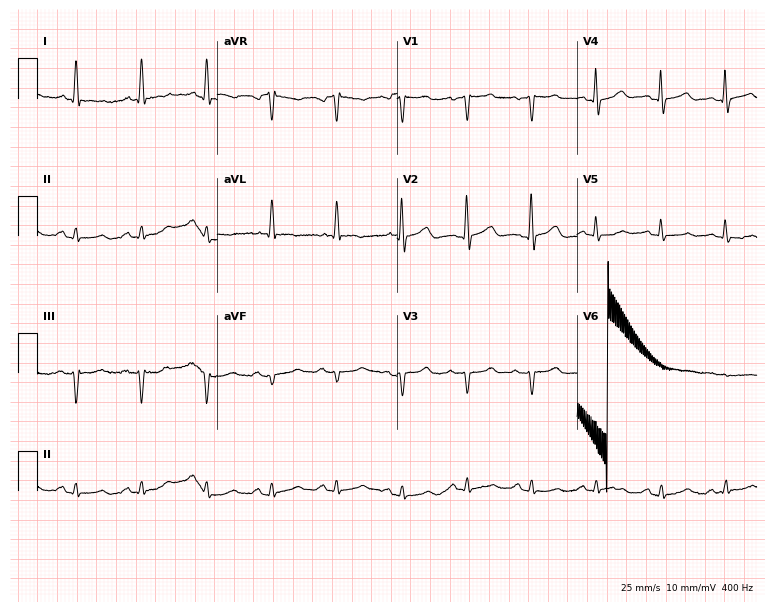
12-lead ECG from a female patient, 65 years old. No first-degree AV block, right bundle branch block, left bundle branch block, sinus bradycardia, atrial fibrillation or sinus tachycardia recorded for this tracing. Only these six findings were labelled.